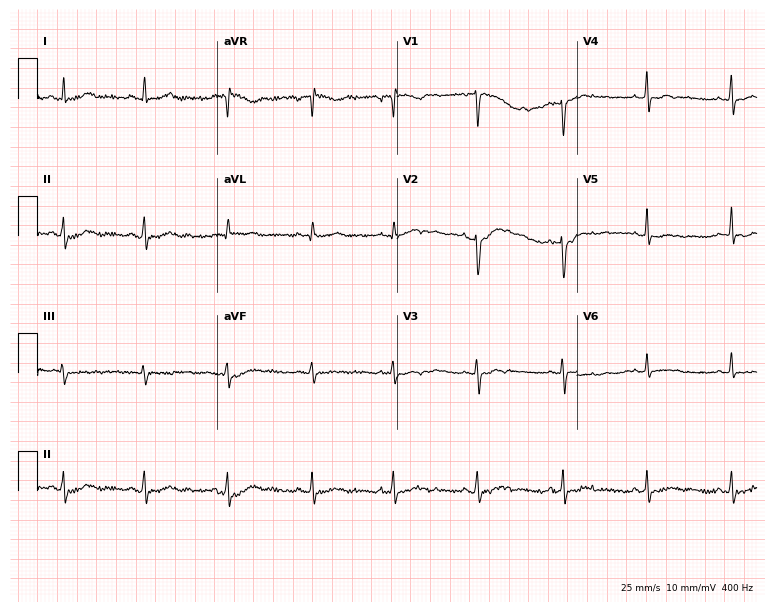
Standard 12-lead ECG recorded from a female, 36 years old. None of these six findings is recorded: first-degree AV block, right bundle branch block, left bundle branch block, sinus bradycardia, atrial fibrillation, sinus tachycardia. Findings outside these six are not listed.